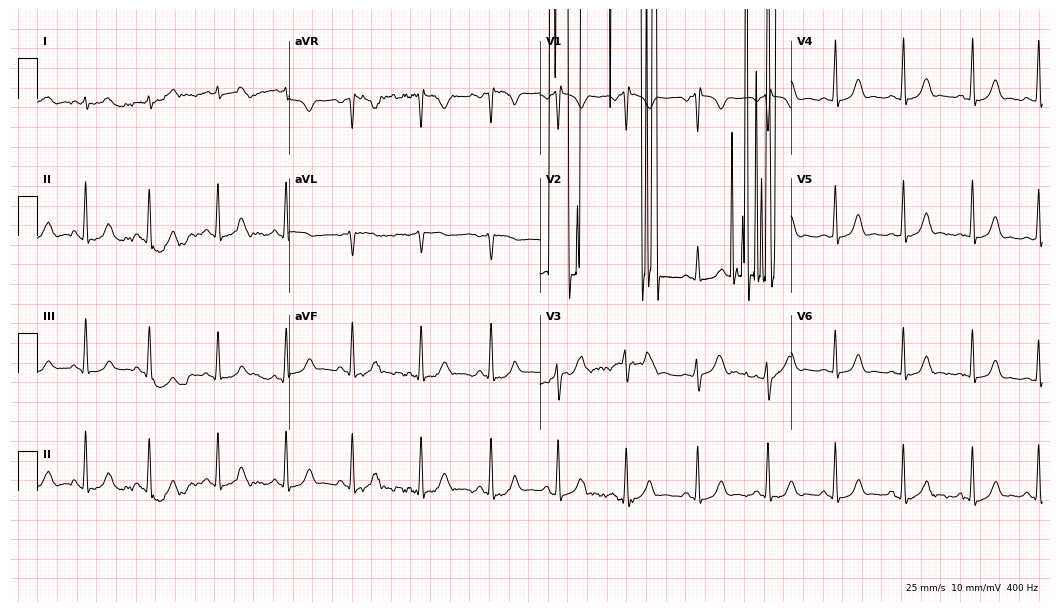
Standard 12-lead ECG recorded from a 22-year-old female. None of these six findings is recorded: first-degree AV block, right bundle branch block, left bundle branch block, sinus bradycardia, atrial fibrillation, sinus tachycardia.